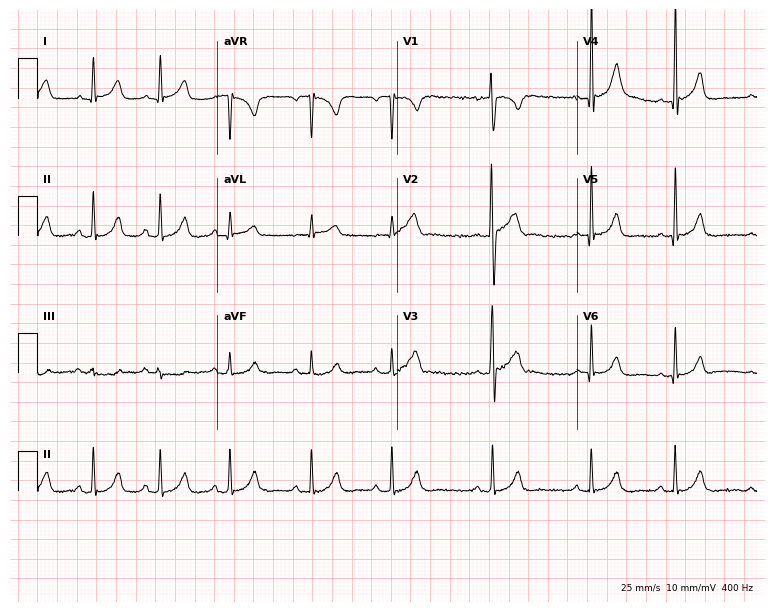
12-lead ECG (7.3-second recording at 400 Hz) from a male patient, 27 years old. Labelled as a normal ECG.